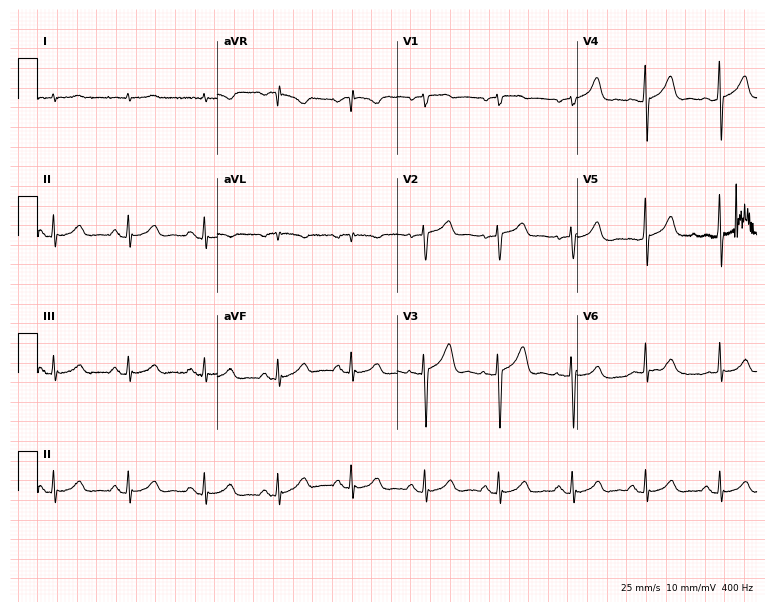
Resting 12-lead electrocardiogram. Patient: a 72-year-old man. None of these six findings is recorded: first-degree AV block, right bundle branch block, left bundle branch block, sinus bradycardia, atrial fibrillation, sinus tachycardia. Other findings, if any, are not listed.